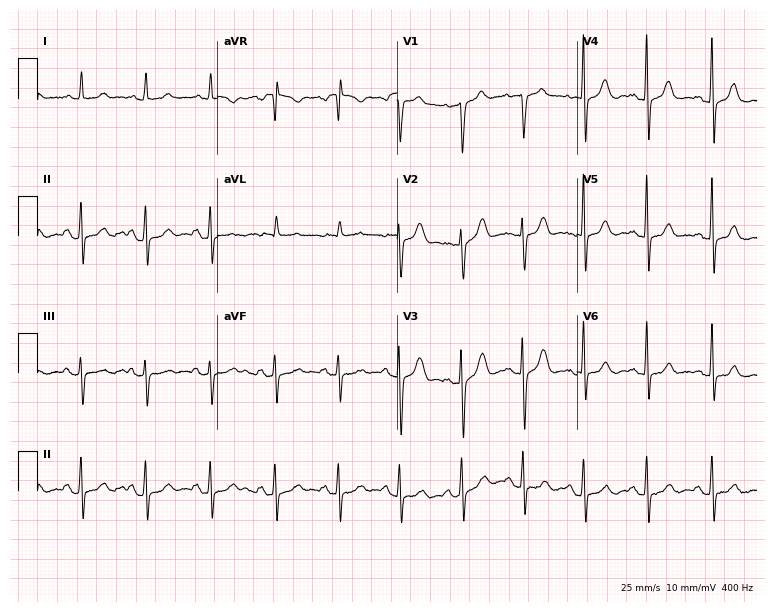
Resting 12-lead electrocardiogram. Patient: a 59-year-old female. Read as a normal ECG.